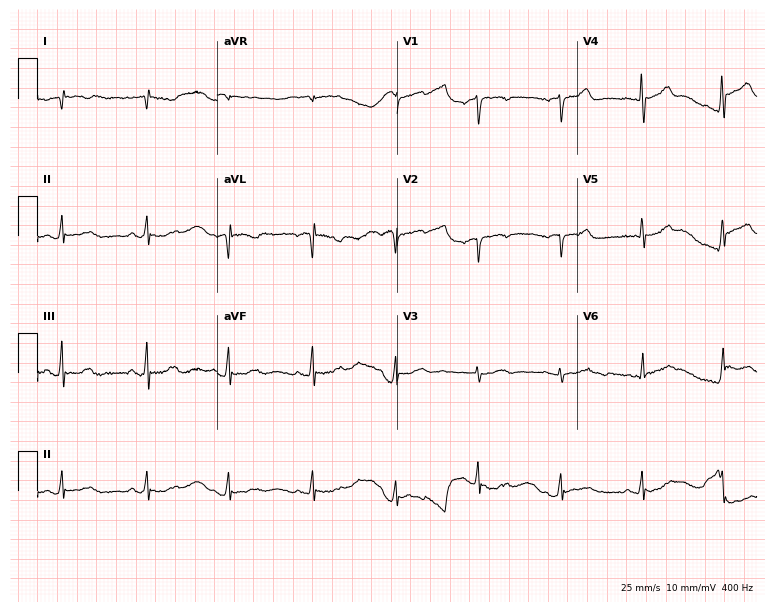
Resting 12-lead electrocardiogram (7.3-second recording at 400 Hz). Patient: an 86-year-old male. None of these six findings is recorded: first-degree AV block, right bundle branch block, left bundle branch block, sinus bradycardia, atrial fibrillation, sinus tachycardia.